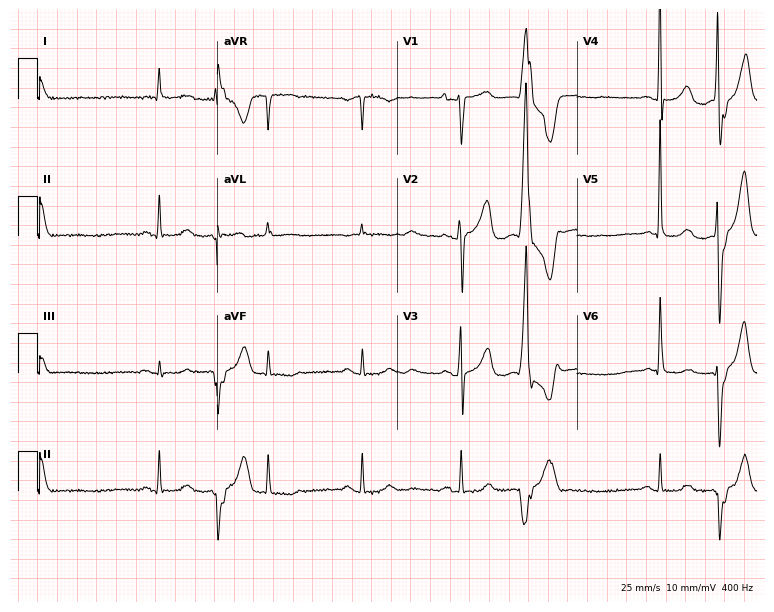
Resting 12-lead electrocardiogram (7.3-second recording at 400 Hz). Patient: a woman, 82 years old. None of these six findings is recorded: first-degree AV block, right bundle branch block, left bundle branch block, sinus bradycardia, atrial fibrillation, sinus tachycardia. Findings outside these six are not listed.